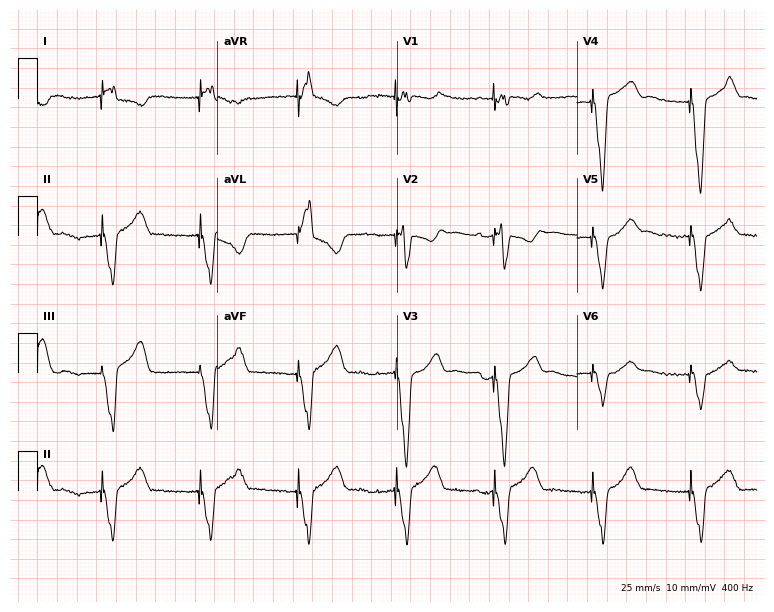
ECG (7.3-second recording at 400 Hz) — a male, 74 years old. Screened for six findings — first-degree AV block, right bundle branch block, left bundle branch block, sinus bradycardia, atrial fibrillation, sinus tachycardia — none is recorded.